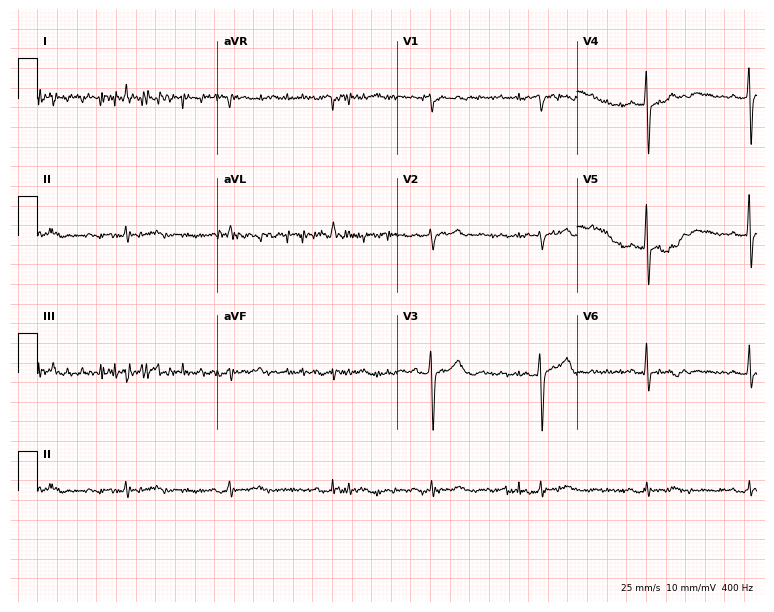
Electrocardiogram, a 68-year-old male. Of the six screened findings (first-degree AV block, right bundle branch block (RBBB), left bundle branch block (LBBB), sinus bradycardia, atrial fibrillation (AF), sinus tachycardia), none is recorded. Other findings, if any, are not listed.